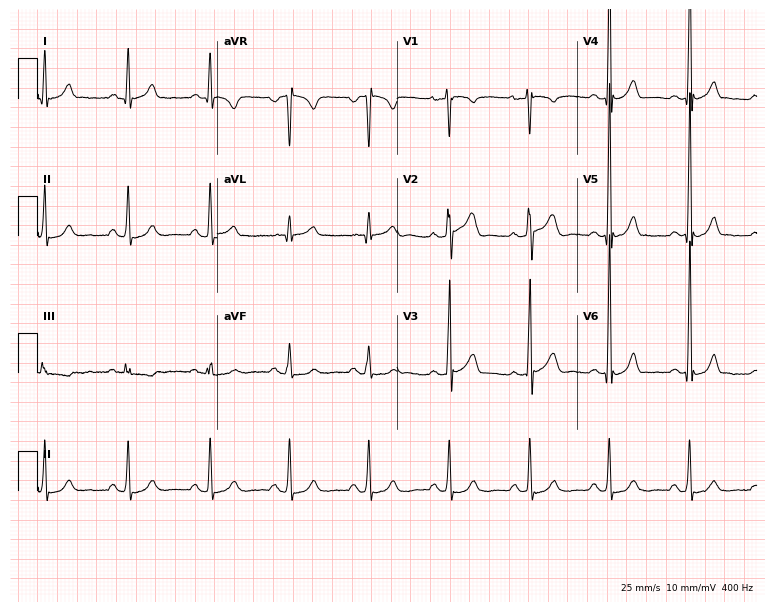
Electrocardiogram, a man, 49 years old. Of the six screened findings (first-degree AV block, right bundle branch block, left bundle branch block, sinus bradycardia, atrial fibrillation, sinus tachycardia), none is recorded. Other findings, if any, are not listed.